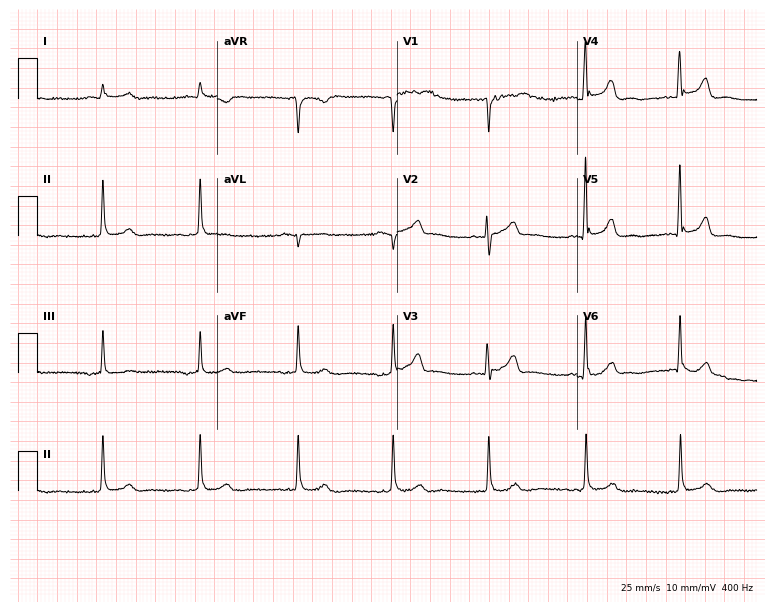
ECG — a female patient, 79 years old. Screened for six findings — first-degree AV block, right bundle branch block (RBBB), left bundle branch block (LBBB), sinus bradycardia, atrial fibrillation (AF), sinus tachycardia — none is recorded. Other findings, if any, are not listed.